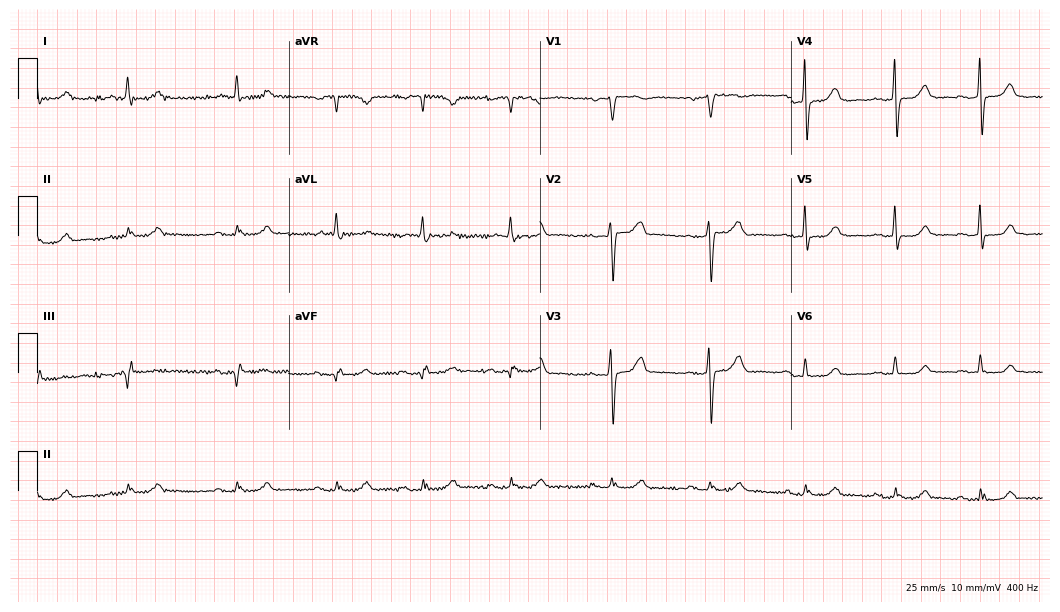
Resting 12-lead electrocardiogram. Patient: a 69-year-old female. None of these six findings is recorded: first-degree AV block, right bundle branch block, left bundle branch block, sinus bradycardia, atrial fibrillation, sinus tachycardia. Other findings, if any, are not listed.